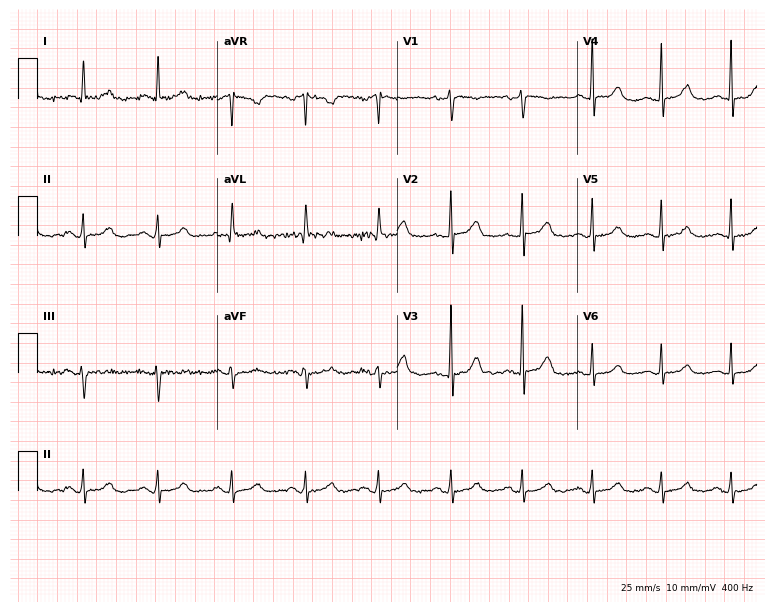
ECG (7.3-second recording at 400 Hz) — a female, 69 years old. Labelled as a normal ECG.